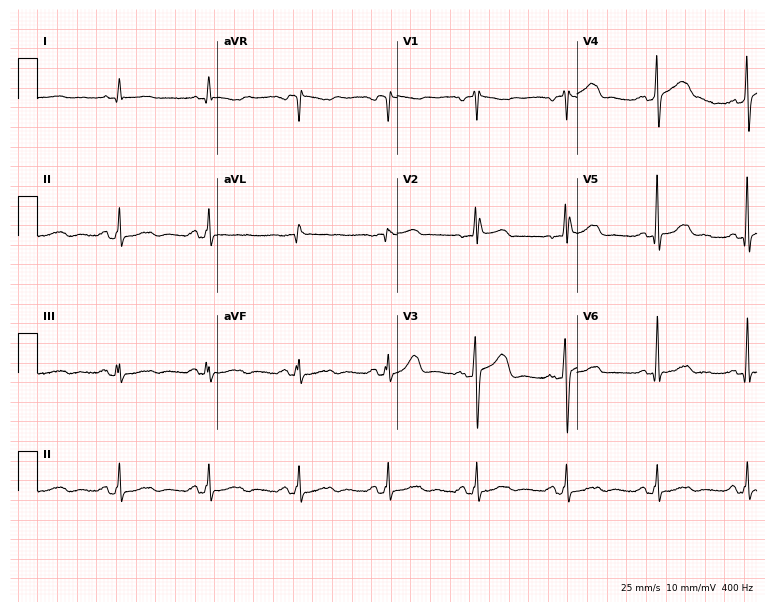
ECG (7.3-second recording at 400 Hz) — a man, 57 years old. Screened for six findings — first-degree AV block, right bundle branch block (RBBB), left bundle branch block (LBBB), sinus bradycardia, atrial fibrillation (AF), sinus tachycardia — none is recorded. Findings outside these six are not listed.